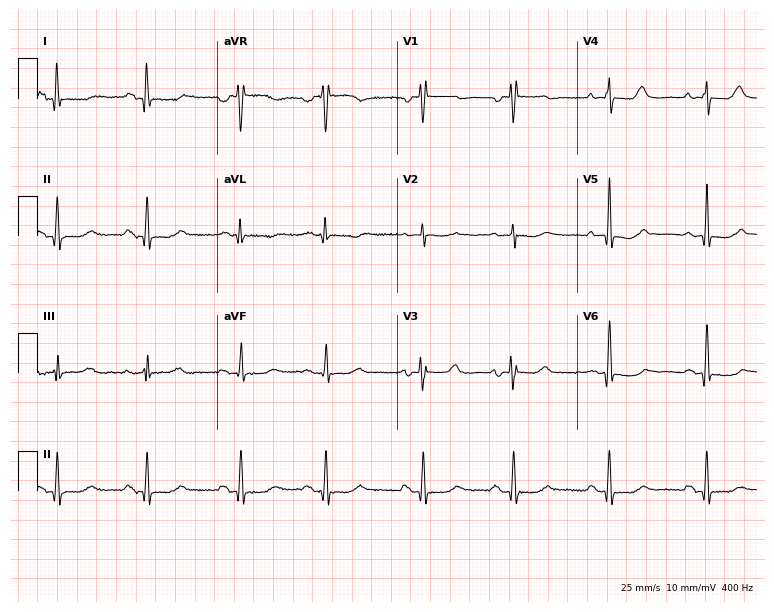
Resting 12-lead electrocardiogram. Patient: a woman, 66 years old. None of these six findings is recorded: first-degree AV block, right bundle branch block (RBBB), left bundle branch block (LBBB), sinus bradycardia, atrial fibrillation (AF), sinus tachycardia. Findings outside these six are not listed.